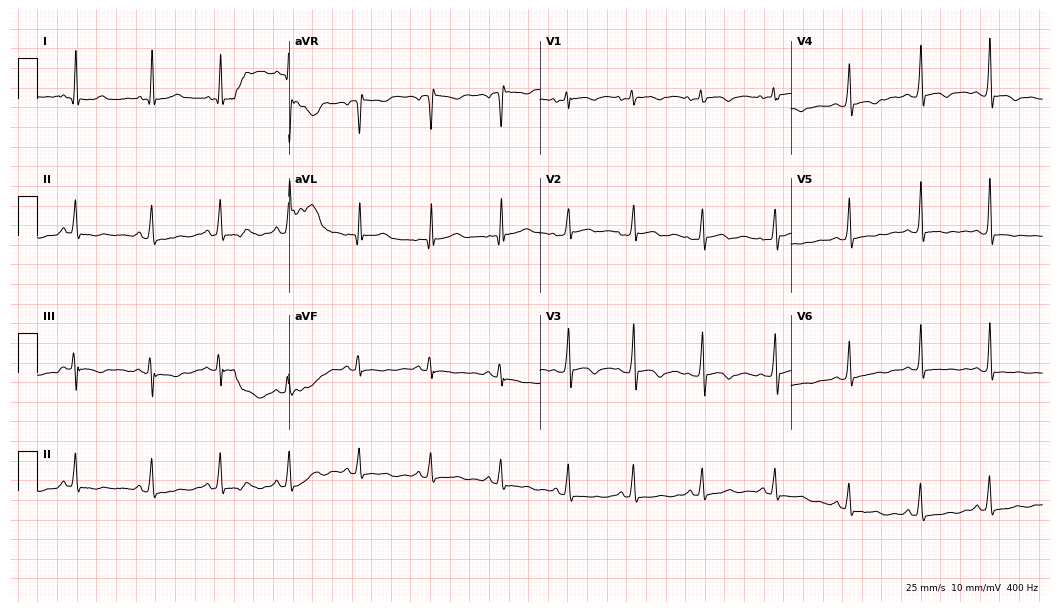
12-lead ECG (10.2-second recording at 400 Hz) from a female patient, 31 years old. Screened for six findings — first-degree AV block, right bundle branch block, left bundle branch block, sinus bradycardia, atrial fibrillation, sinus tachycardia — none is recorded. Only these six findings were labelled.